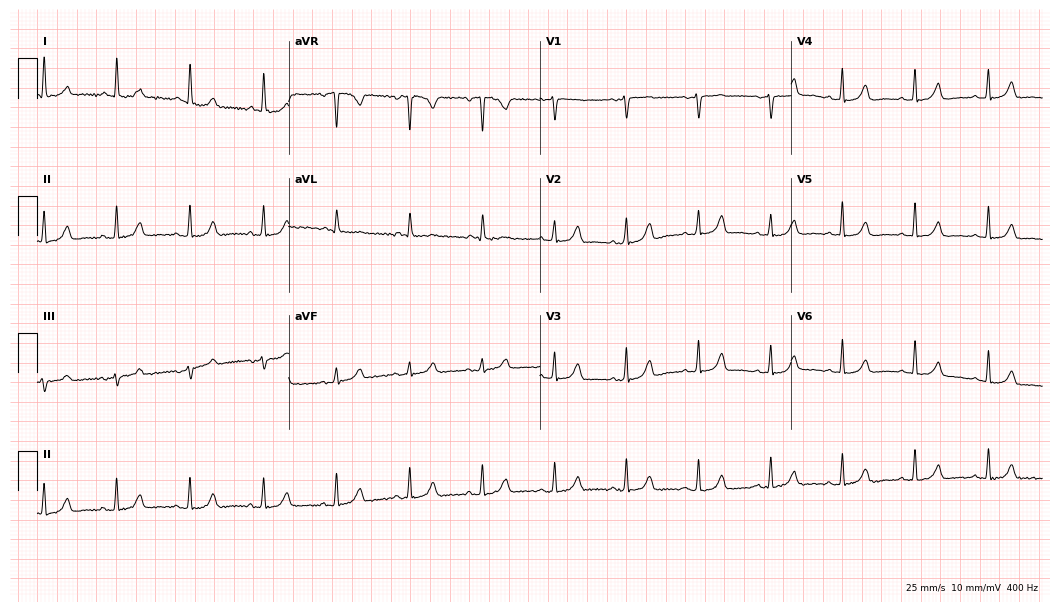
ECG — a woman, 75 years old. Screened for six findings — first-degree AV block, right bundle branch block (RBBB), left bundle branch block (LBBB), sinus bradycardia, atrial fibrillation (AF), sinus tachycardia — none is recorded.